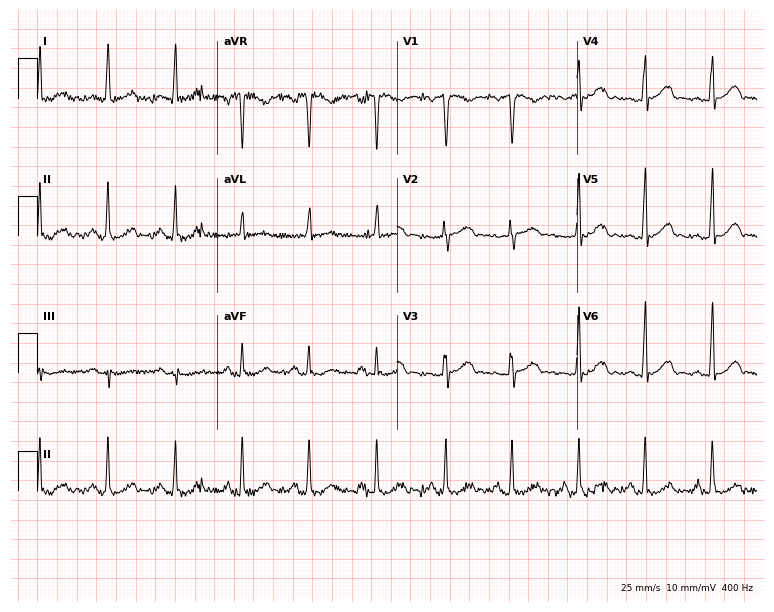
Resting 12-lead electrocardiogram. Patient: a 49-year-old female. None of these six findings is recorded: first-degree AV block, right bundle branch block, left bundle branch block, sinus bradycardia, atrial fibrillation, sinus tachycardia.